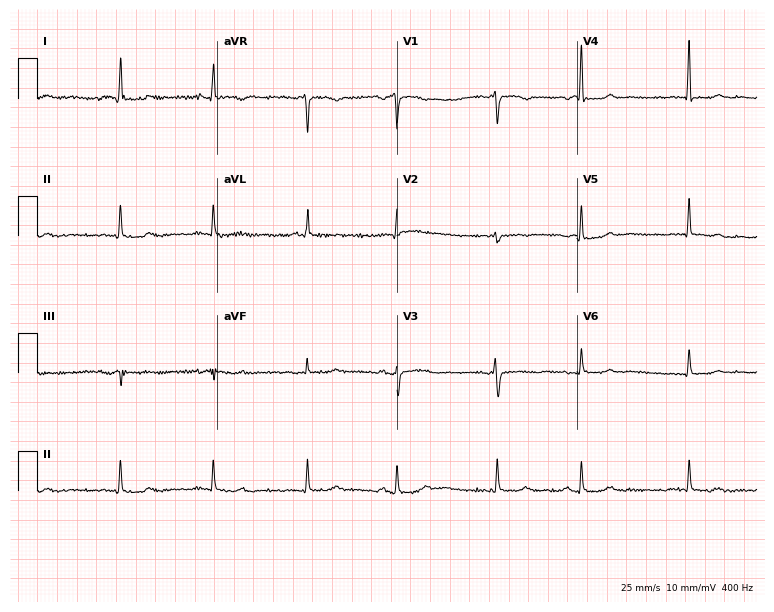
ECG — a 78-year-old woman. Labelled as a normal ECG.